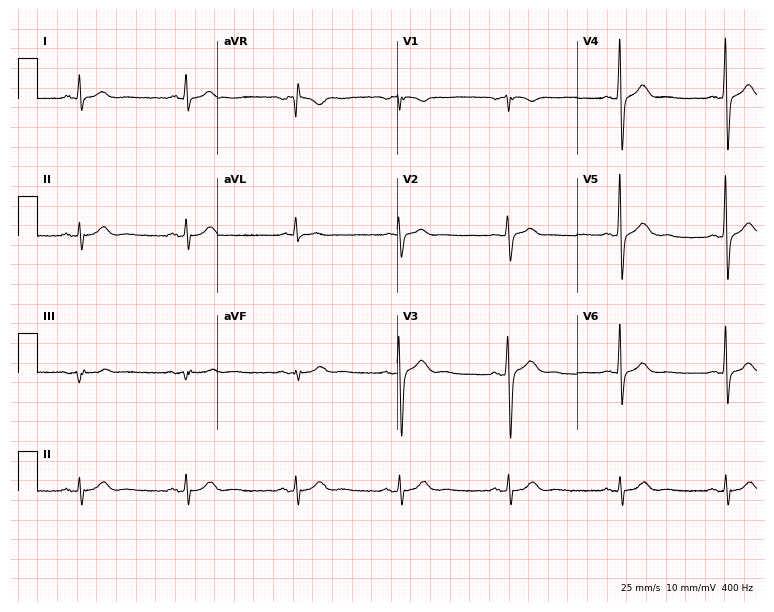
Standard 12-lead ECG recorded from a male patient, 35 years old (7.3-second recording at 400 Hz). Read as a normal ECG.